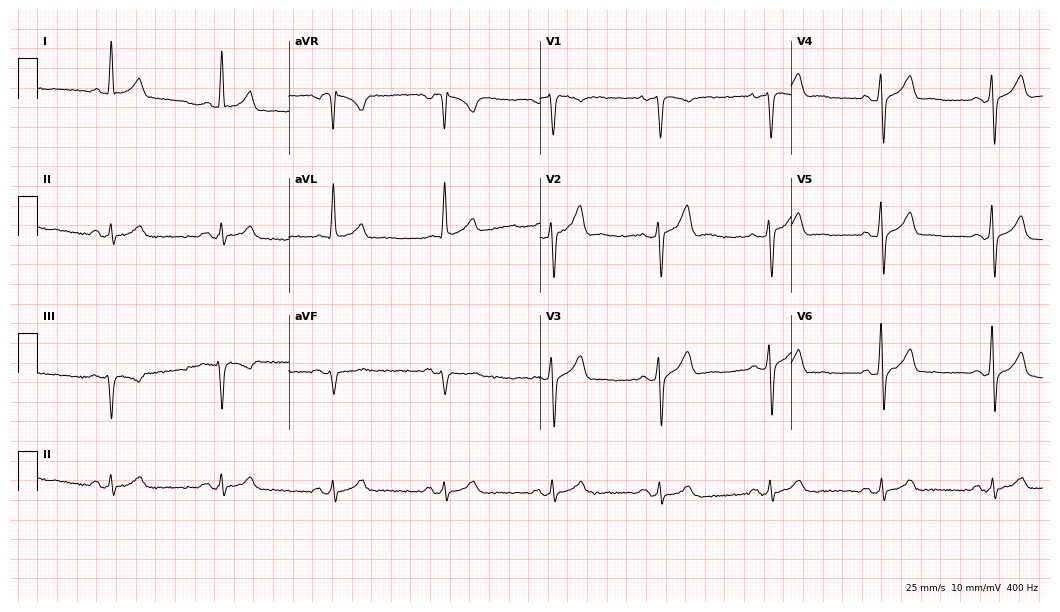
ECG — a 62-year-old male. Labelled as a normal ECG.